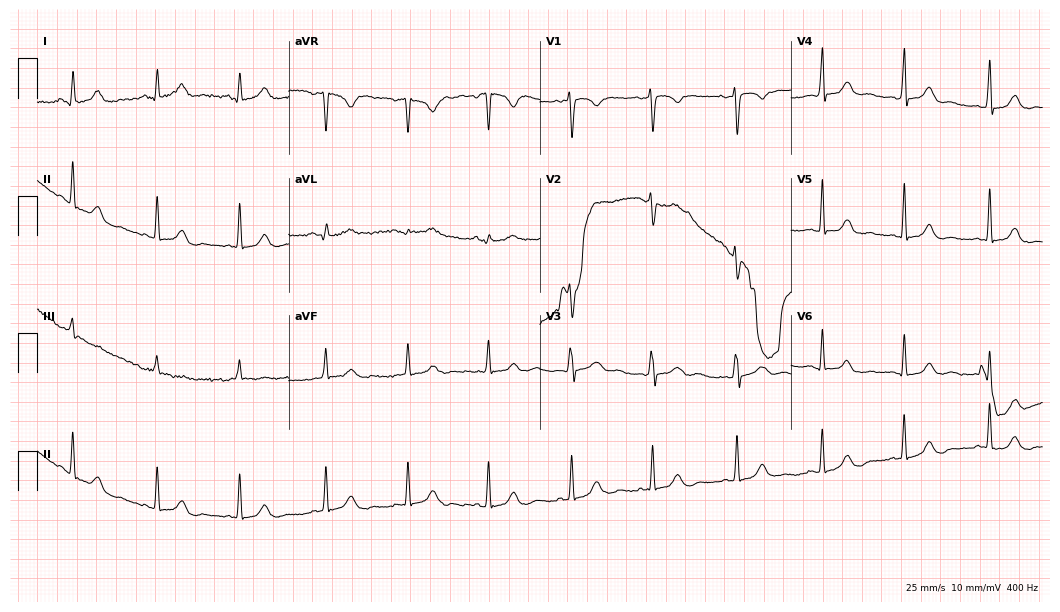
Electrocardiogram, a female patient, 43 years old. Overall reading on record: normal ECG.